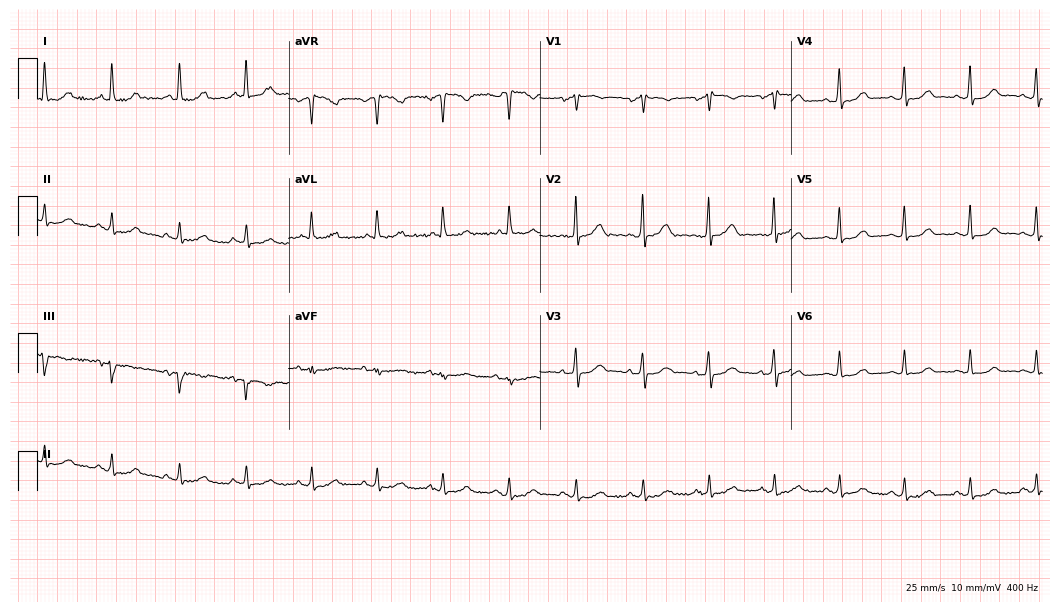
Resting 12-lead electrocardiogram (10.2-second recording at 400 Hz). Patient: a 70-year-old female. Read as a normal ECG.